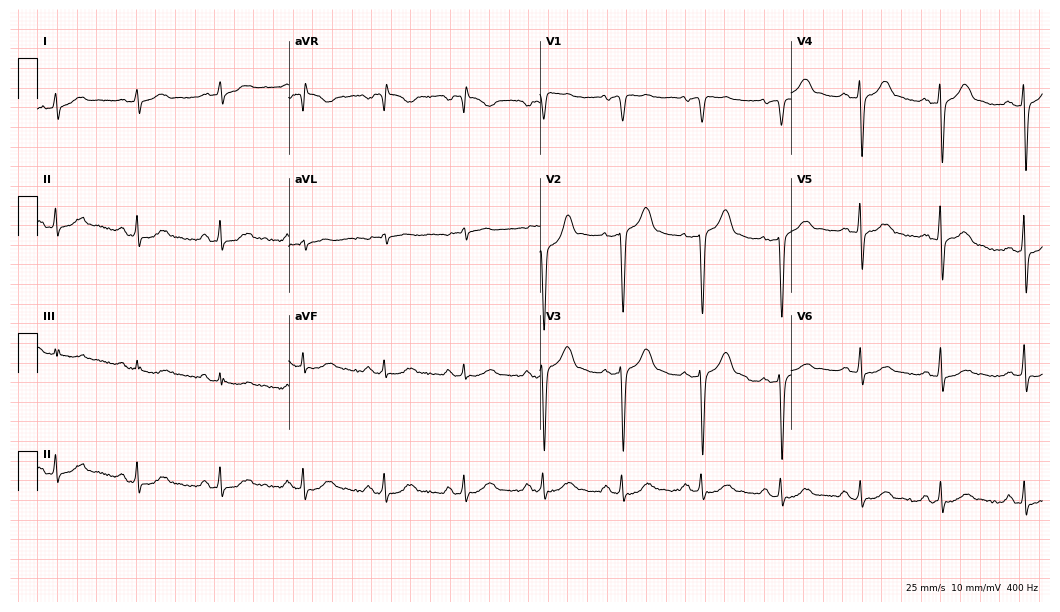
Standard 12-lead ECG recorded from a male patient, 72 years old (10.2-second recording at 400 Hz). None of these six findings is recorded: first-degree AV block, right bundle branch block, left bundle branch block, sinus bradycardia, atrial fibrillation, sinus tachycardia. Findings outside these six are not listed.